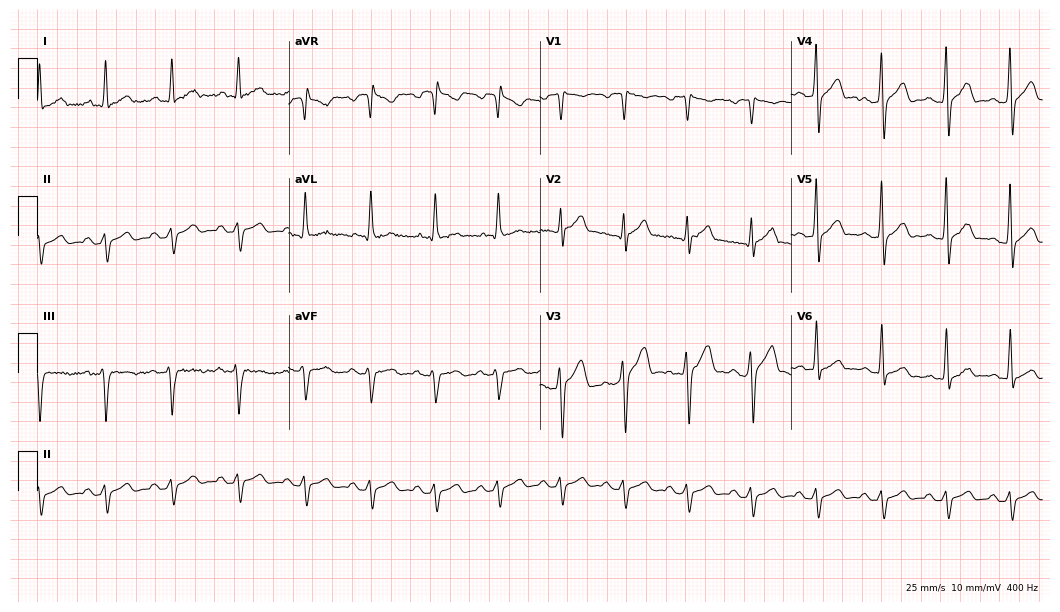
Electrocardiogram (10.2-second recording at 400 Hz), a male, 38 years old. Of the six screened findings (first-degree AV block, right bundle branch block, left bundle branch block, sinus bradycardia, atrial fibrillation, sinus tachycardia), none is recorded.